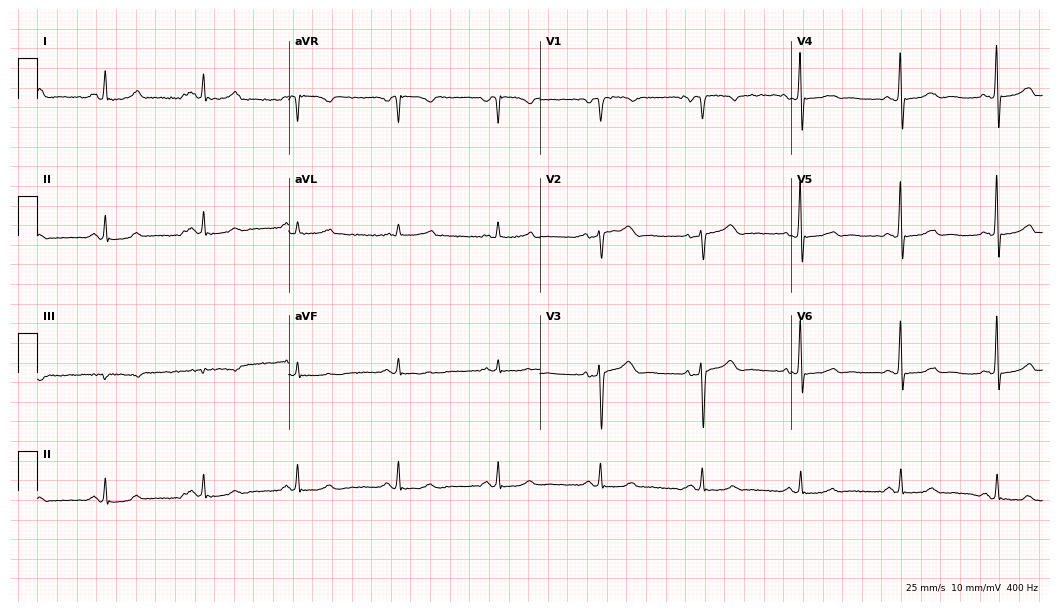
ECG — a 43-year-old female patient. Screened for six findings — first-degree AV block, right bundle branch block (RBBB), left bundle branch block (LBBB), sinus bradycardia, atrial fibrillation (AF), sinus tachycardia — none is recorded. Findings outside these six are not listed.